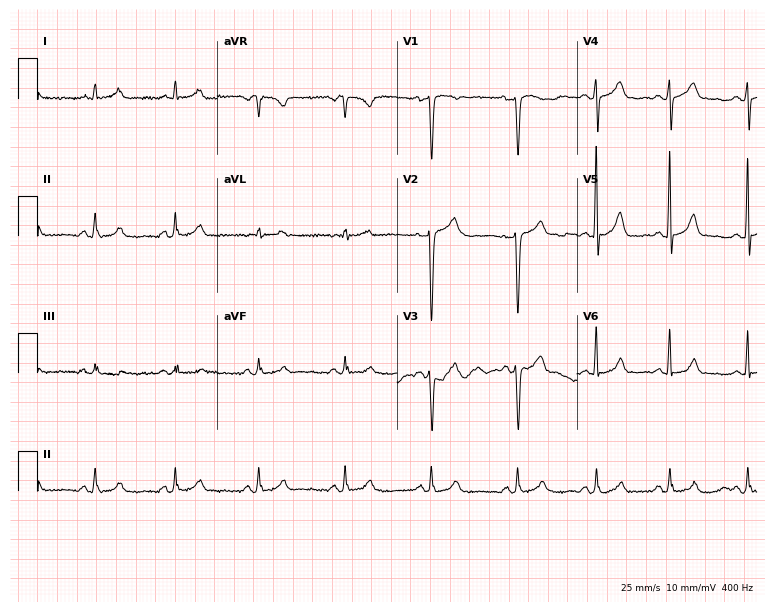
Resting 12-lead electrocardiogram. Patient: a male, 51 years old. Read as a normal ECG.